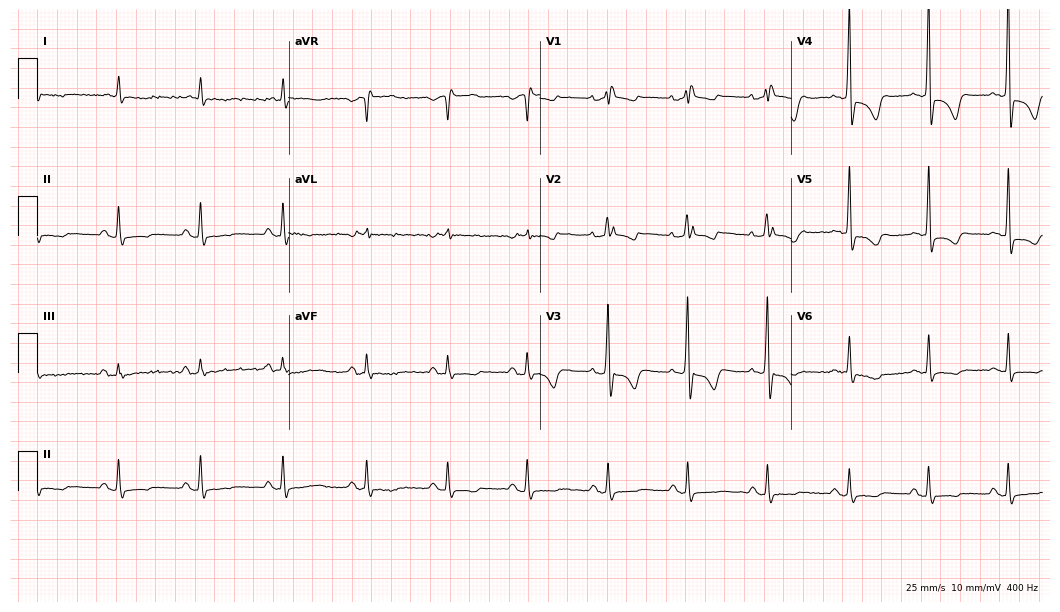
Standard 12-lead ECG recorded from an 83-year-old male patient. None of these six findings is recorded: first-degree AV block, right bundle branch block, left bundle branch block, sinus bradycardia, atrial fibrillation, sinus tachycardia. Other findings, if any, are not listed.